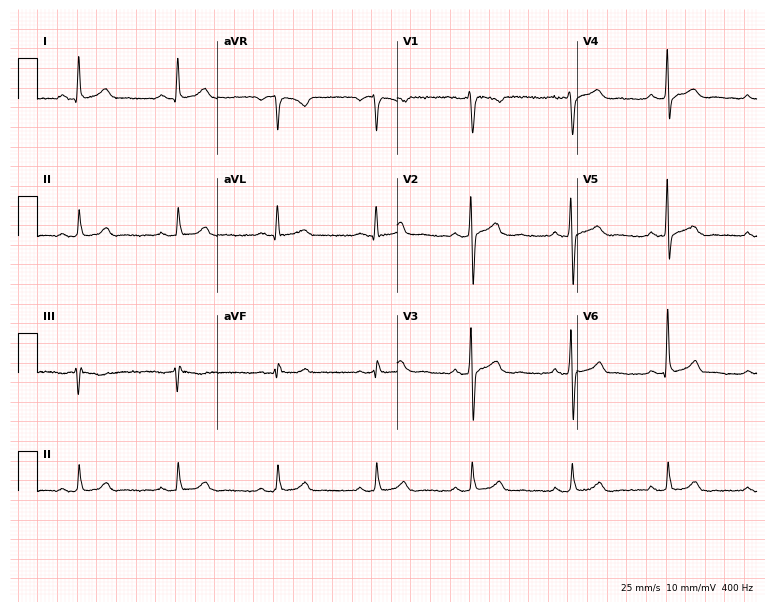
Standard 12-lead ECG recorded from a 37-year-old man (7.3-second recording at 400 Hz). Read as a normal ECG.